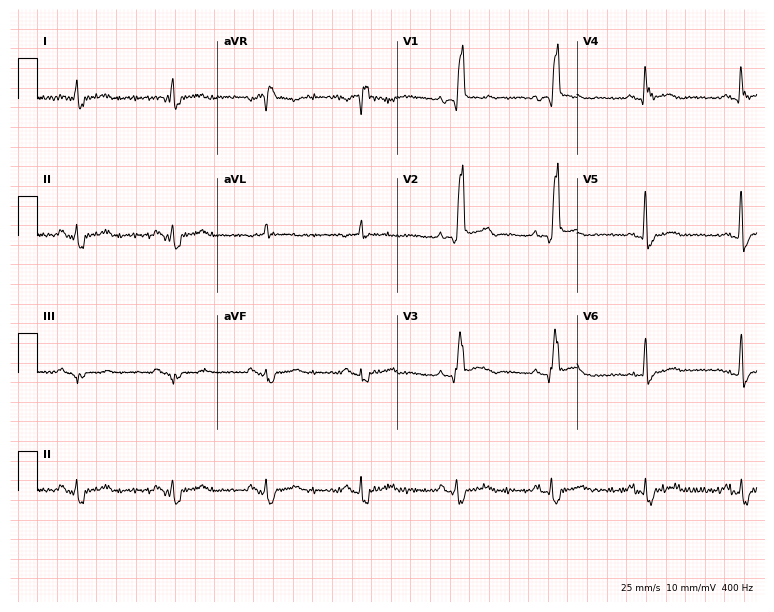
Electrocardiogram, a 60-year-old male. Interpretation includes right bundle branch block.